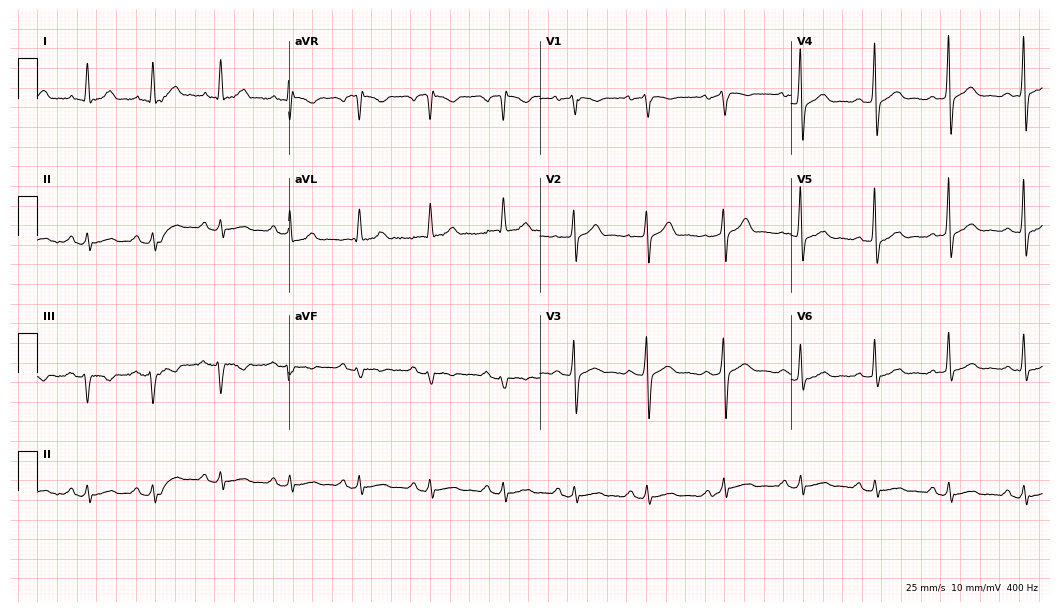
Resting 12-lead electrocardiogram. Patient: a male, 52 years old. Read as a normal ECG.